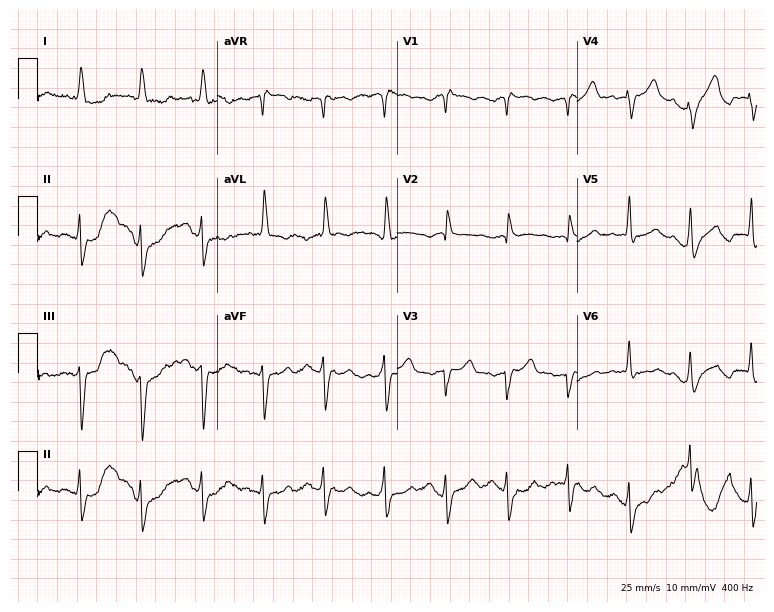
12-lead ECG from a 72-year-old female (7.3-second recording at 400 Hz). No first-degree AV block, right bundle branch block, left bundle branch block, sinus bradycardia, atrial fibrillation or sinus tachycardia recorded for this tracing. Other findings, if any, are not listed.